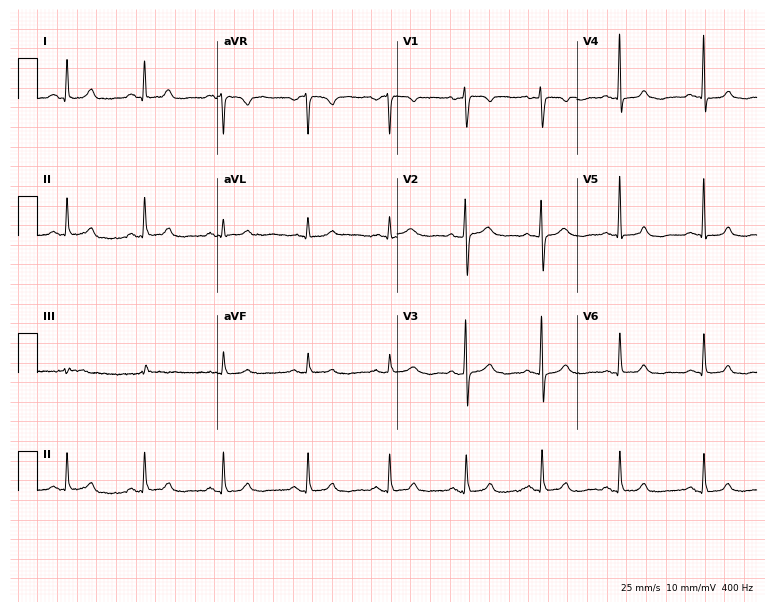
12-lead ECG (7.3-second recording at 400 Hz) from a female patient, 46 years old. Labelled as a normal ECG.